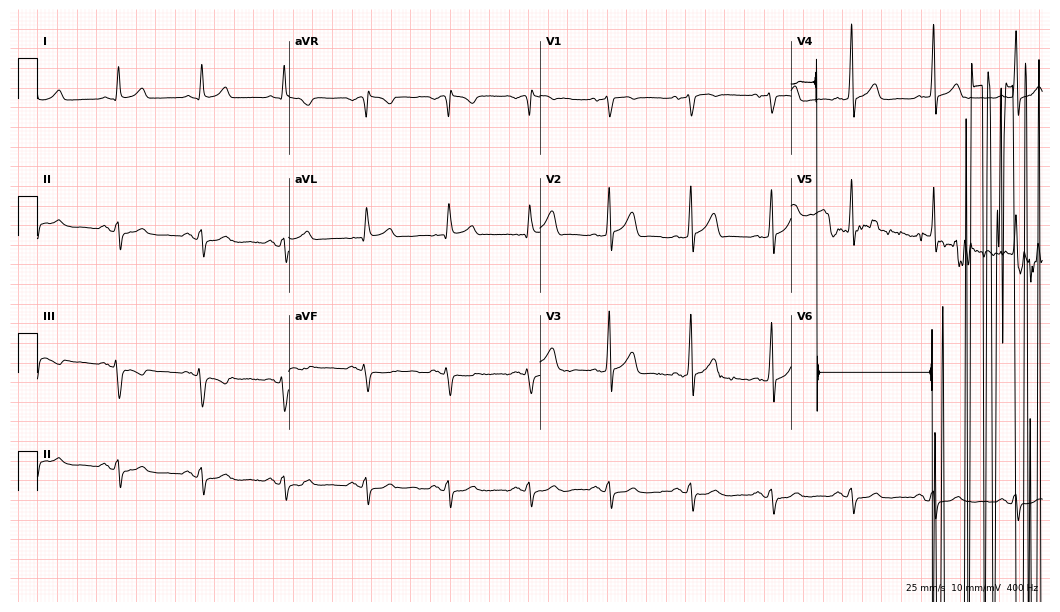
Electrocardiogram (10.2-second recording at 400 Hz), a 59-year-old man. Of the six screened findings (first-degree AV block, right bundle branch block (RBBB), left bundle branch block (LBBB), sinus bradycardia, atrial fibrillation (AF), sinus tachycardia), none is recorded.